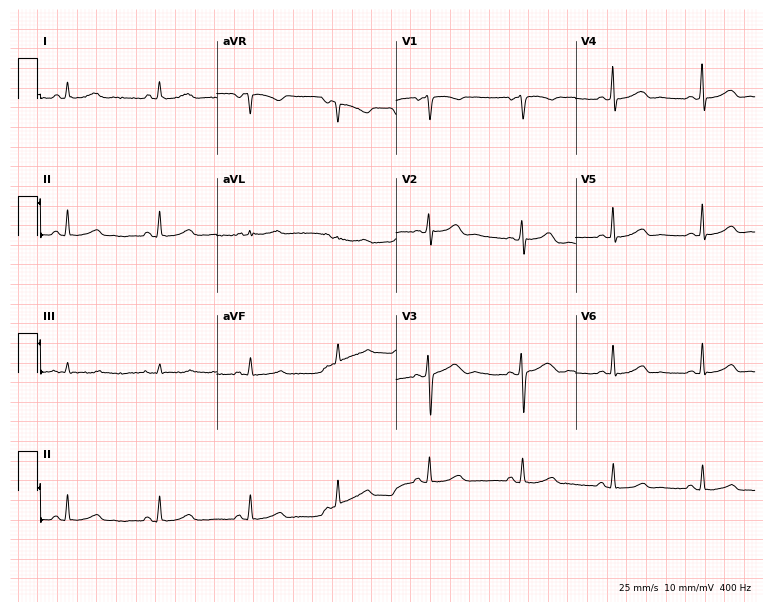
Electrocardiogram, a 38-year-old female. Overall reading on record: normal ECG.